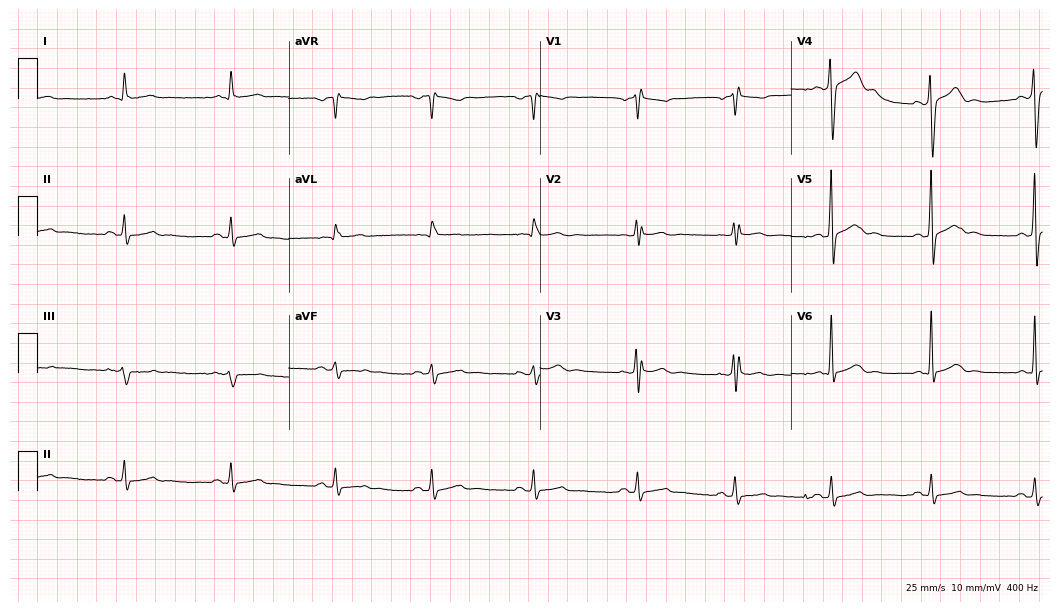
Standard 12-lead ECG recorded from a man, 24 years old. None of these six findings is recorded: first-degree AV block, right bundle branch block, left bundle branch block, sinus bradycardia, atrial fibrillation, sinus tachycardia. Findings outside these six are not listed.